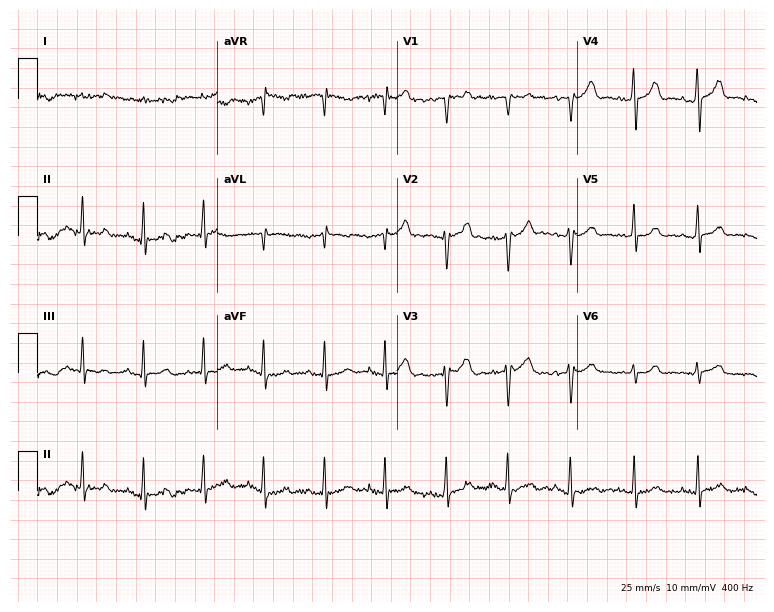
ECG — a 75-year-old male patient. Labelled as a normal ECG.